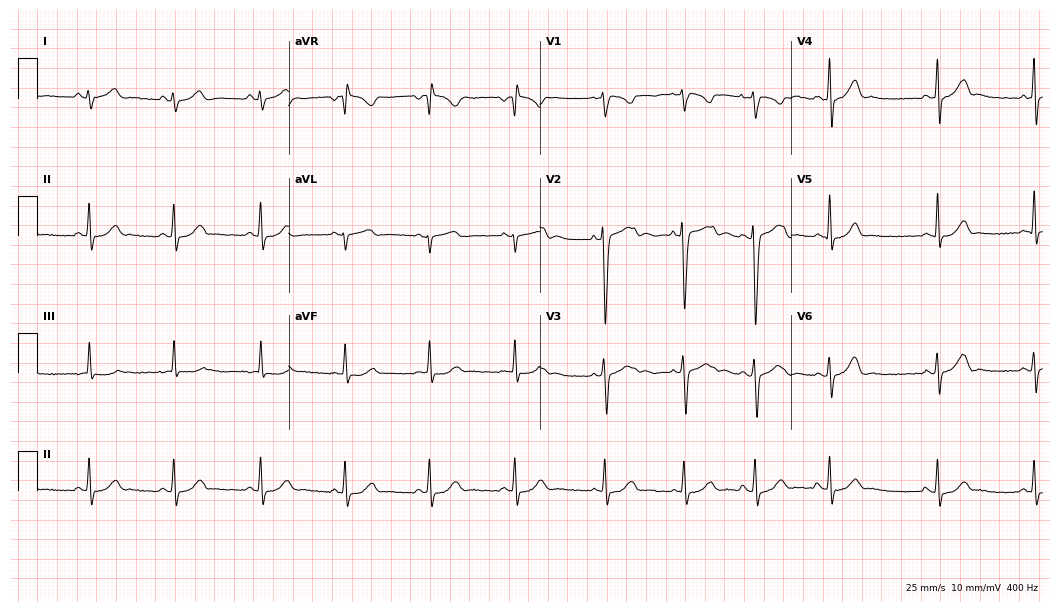
Standard 12-lead ECG recorded from a 19-year-old female (10.2-second recording at 400 Hz). None of these six findings is recorded: first-degree AV block, right bundle branch block (RBBB), left bundle branch block (LBBB), sinus bradycardia, atrial fibrillation (AF), sinus tachycardia. Findings outside these six are not listed.